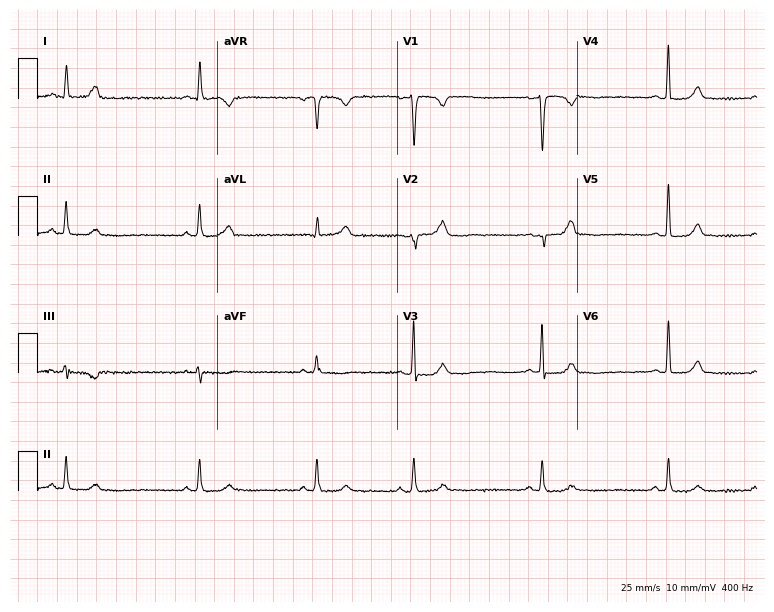
ECG (7.3-second recording at 400 Hz) — a female, 33 years old. Findings include sinus bradycardia (a sinus rate of 50 beats per minute or less).